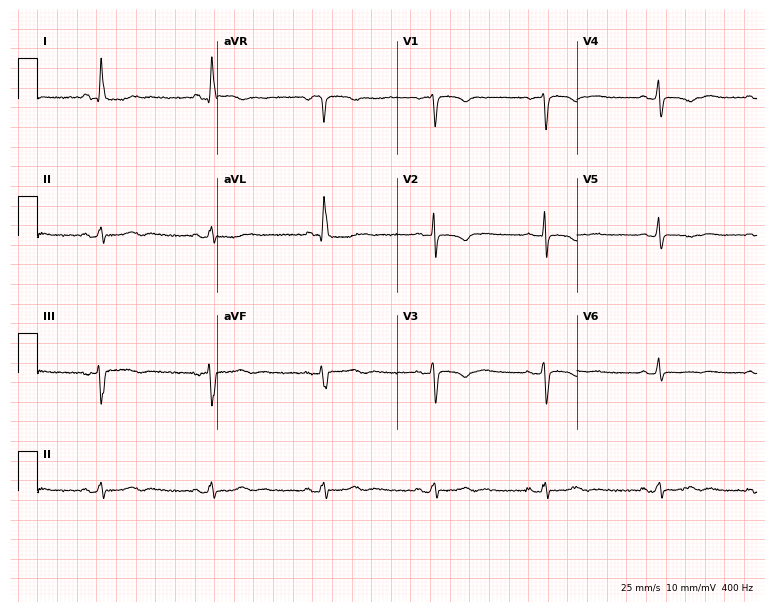
12-lead ECG from a female patient, 35 years old (7.3-second recording at 400 Hz). No first-degree AV block, right bundle branch block (RBBB), left bundle branch block (LBBB), sinus bradycardia, atrial fibrillation (AF) or sinus tachycardia recorded for this tracing. Only these six findings were labelled.